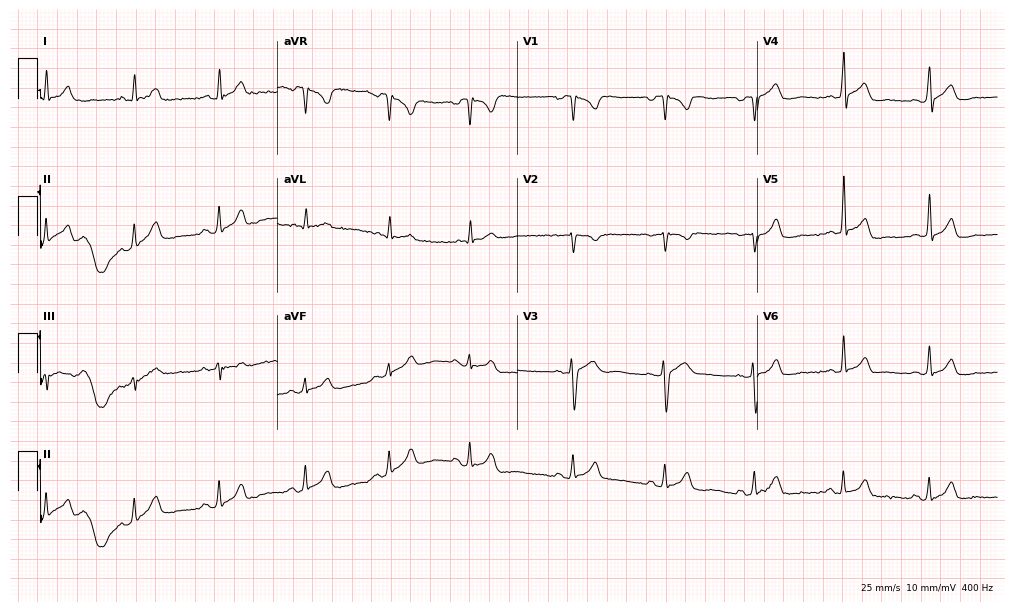
Standard 12-lead ECG recorded from a 36-year-old male patient. Read as a normal ECG.